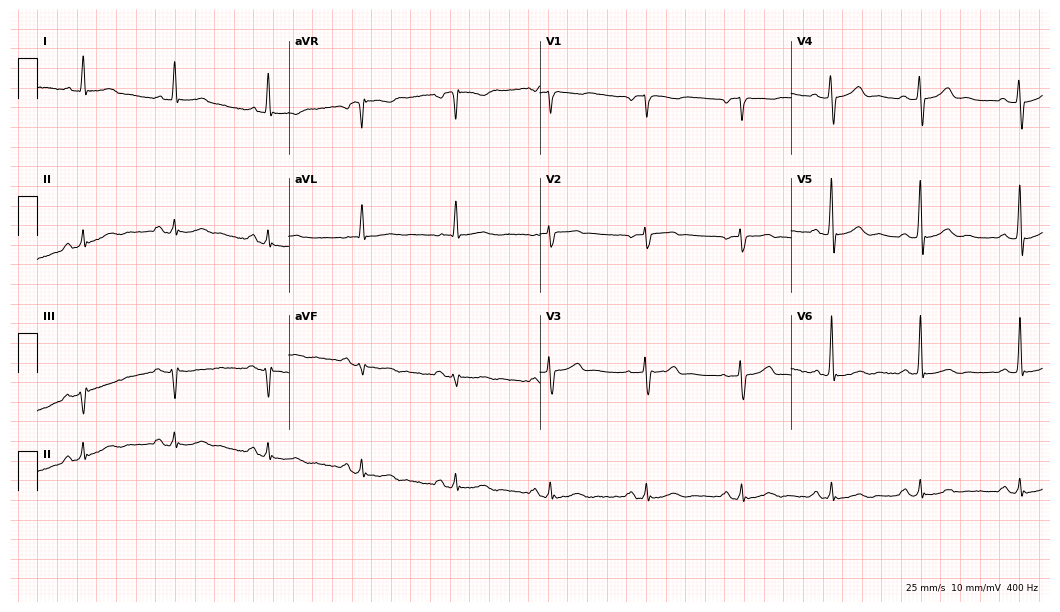
ECG — a male, 68 years old. Labelled as a normal ECG.